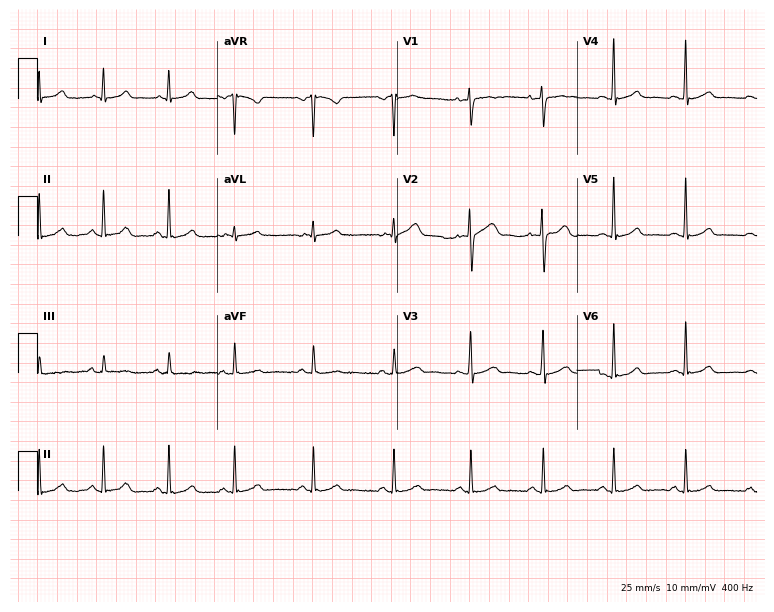
12-lead ECG from a 42-year-old female patient. Recorded interpretation: within normal limits.